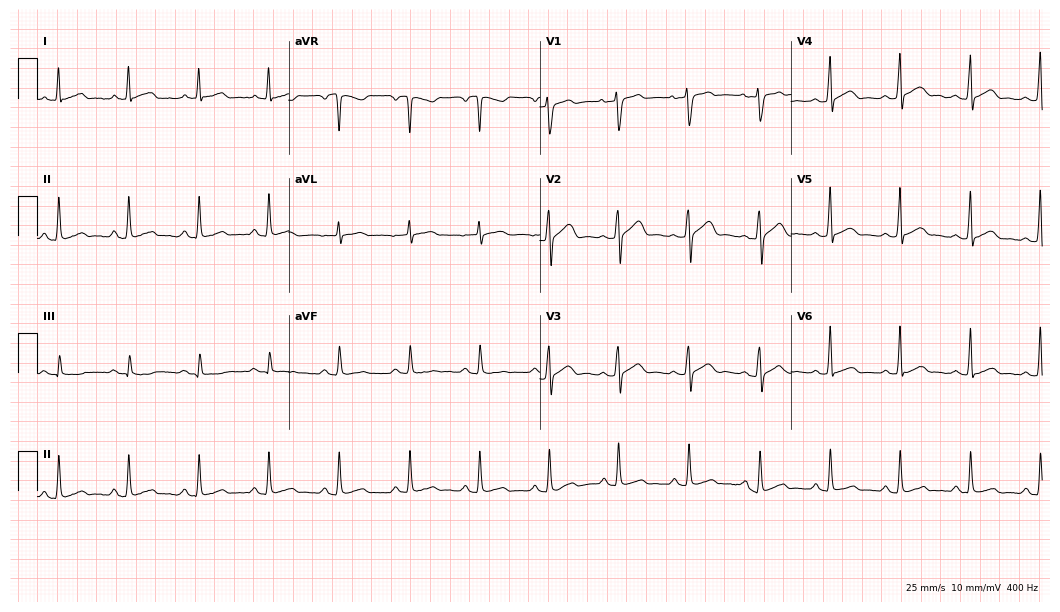
12-lead ECG (10.2-second recording at 400 Hz) from a 39-year-old male. Labelled as a normal ECG.